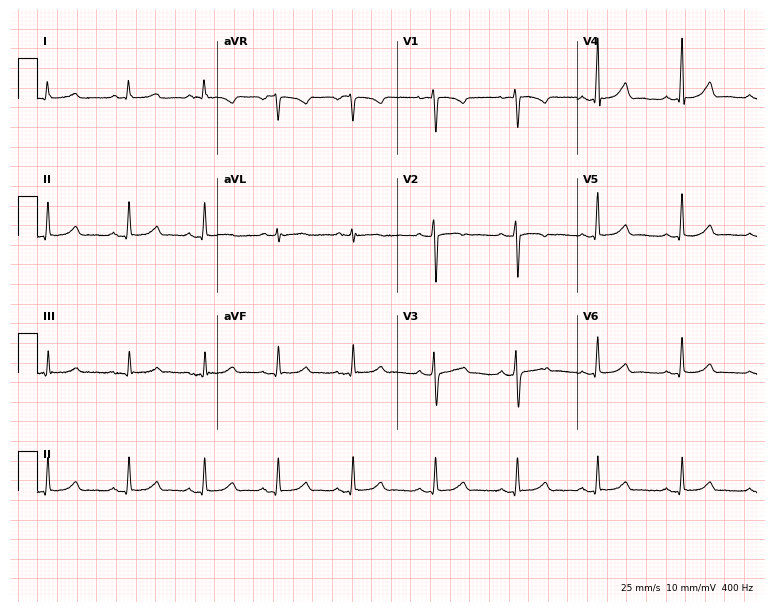
Resting 12-lead electrocardiogram (7.3-second recording at 400 Hz). Patient: a 48-year-old woman. Read as a normal ECG.